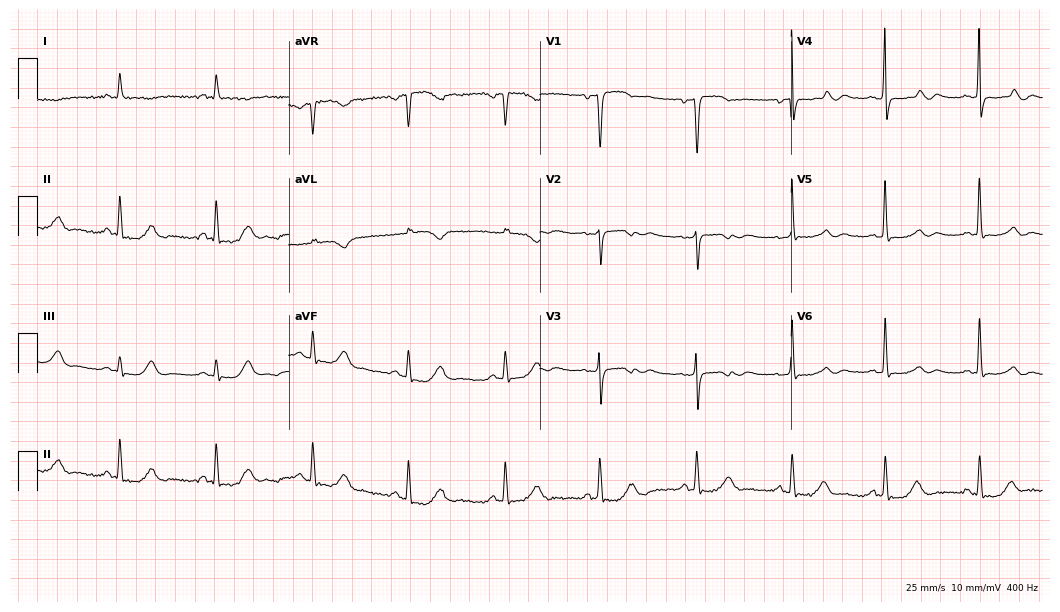
12-lead ECG from a 55-year-old female (10.2-second recording at 400 Hz). No first-degree AV block, right bundle branch block, left bundle branch block, sinus bradycardia, atrial fibrillation or sinus tachycardia recorded for this tracing.